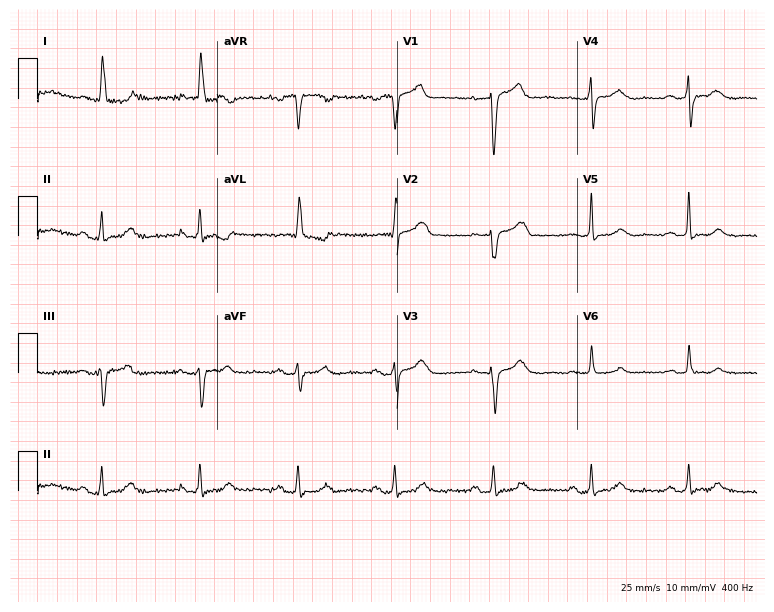
ECG — a female, 82 years old. Screened for six findings — first-degree AV block, right bundle branch block, left bundle branch block, sinus bradycardia, atrial fibrillation, sinus tachycardia — none is recorded.